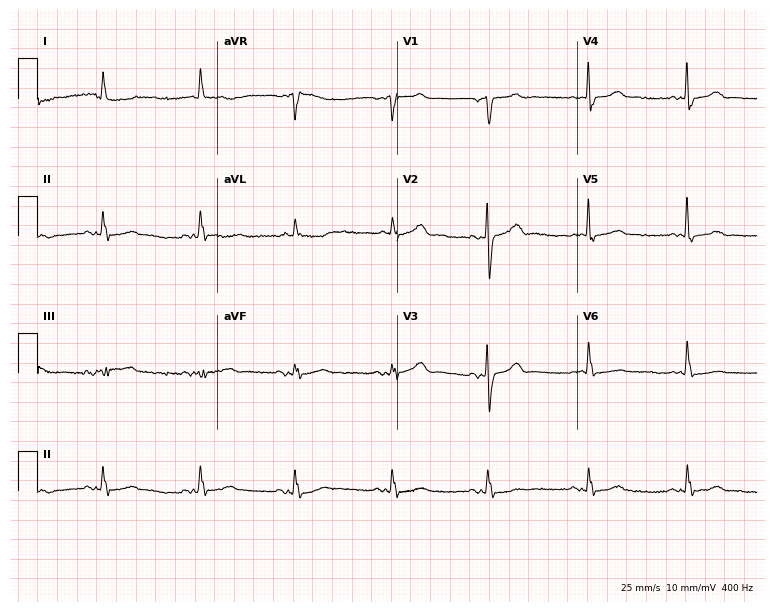
Electrocardiogram, an 83-year-old female. Overall reading on record: normal ECG.